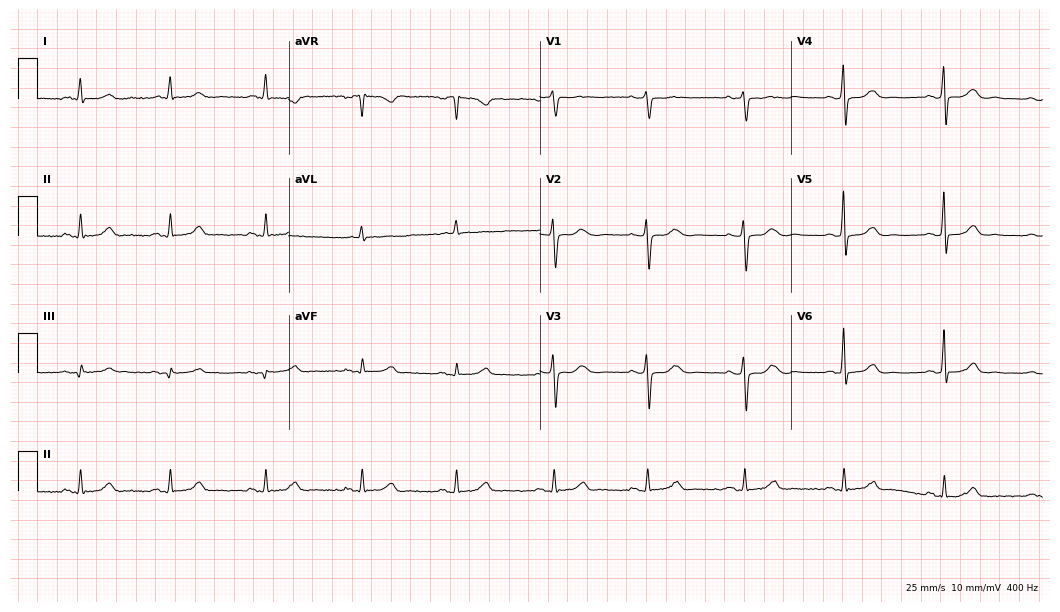
ECG (10.2-second recording at 400 Hz) — a female patient, 69 years old. Labelled as a normal ECG.